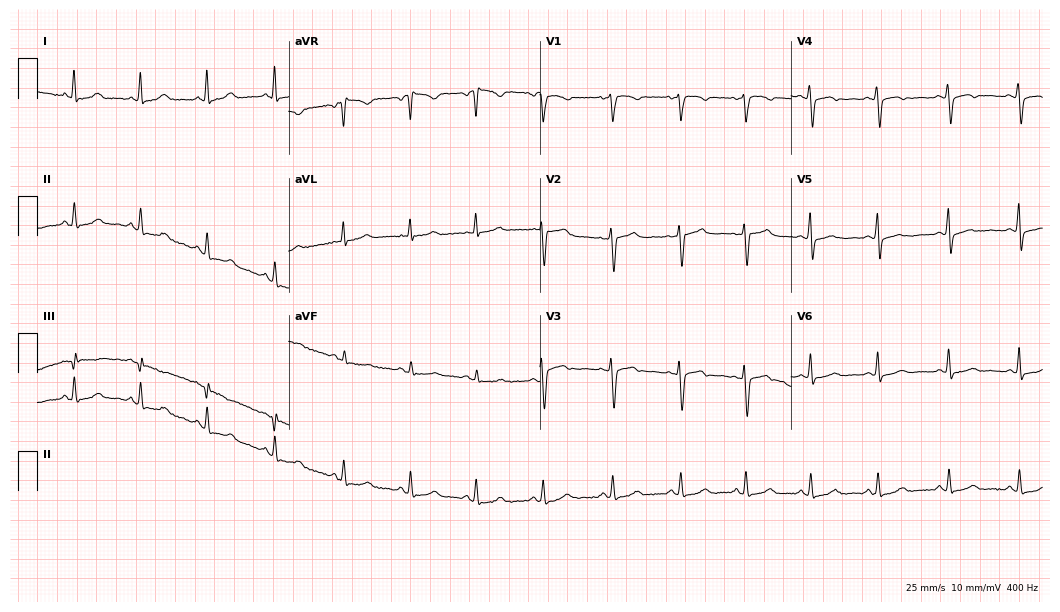
Resting 12-lead electrocardiogram (10.2-second recording at 400 Hz). Patient: a 46-year-old female. None of these six findings is recorded: first-degree AV block, right bundle branch block, left bundle branch block, sinus bradycardia, atrial fibrillation, sinus tachycardia.